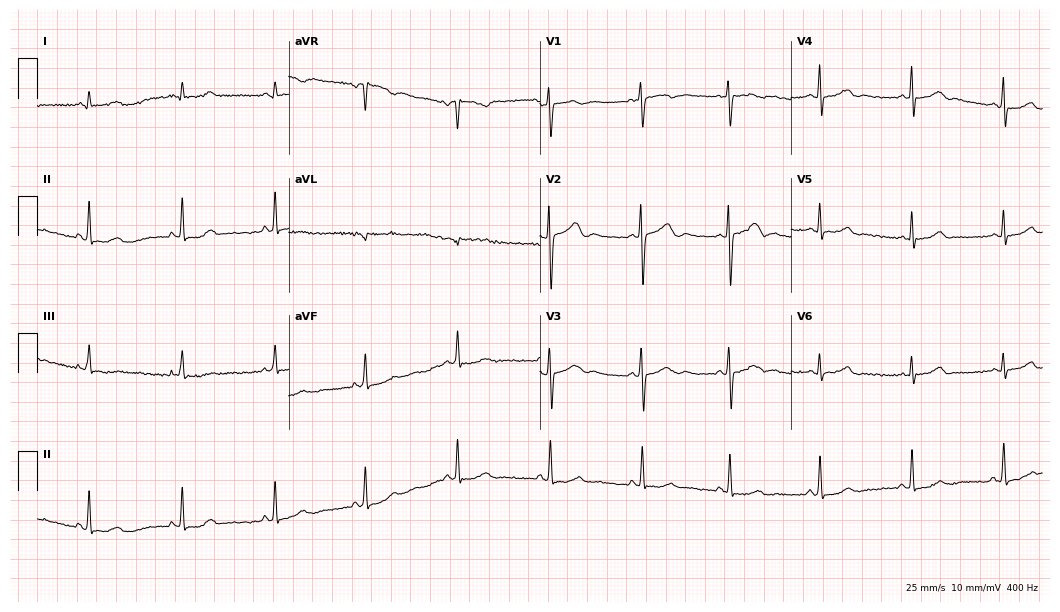
12-lead ECG from a female, 25 years old. Screened for six findings — first-degree AV block, right bundle branch block (RBBB), left bundle branch block (LBBB), sinus bradycardia, atrial fibrillation (AF), sinus tachycardia — none is recorded.